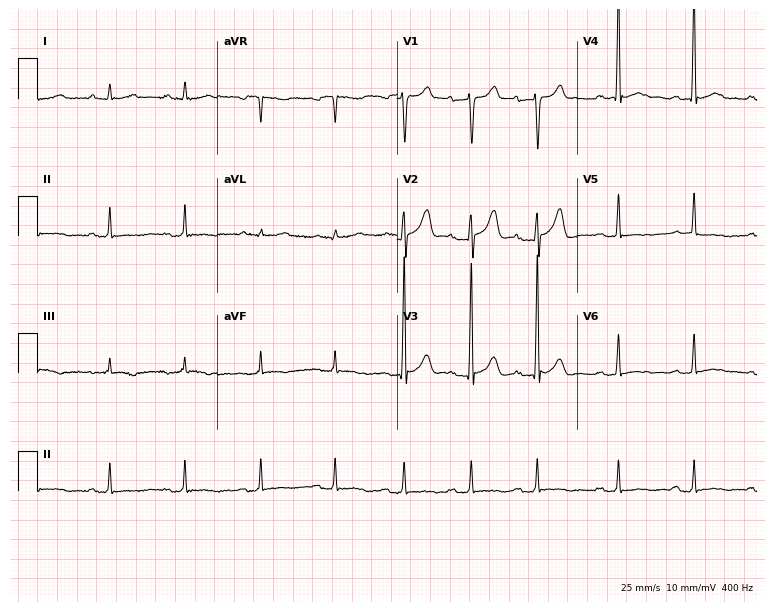
Electrocardiogram (7.3-second recording at 400 Hz), a male, 53 years old. Interpretation includes first-degree AV block.